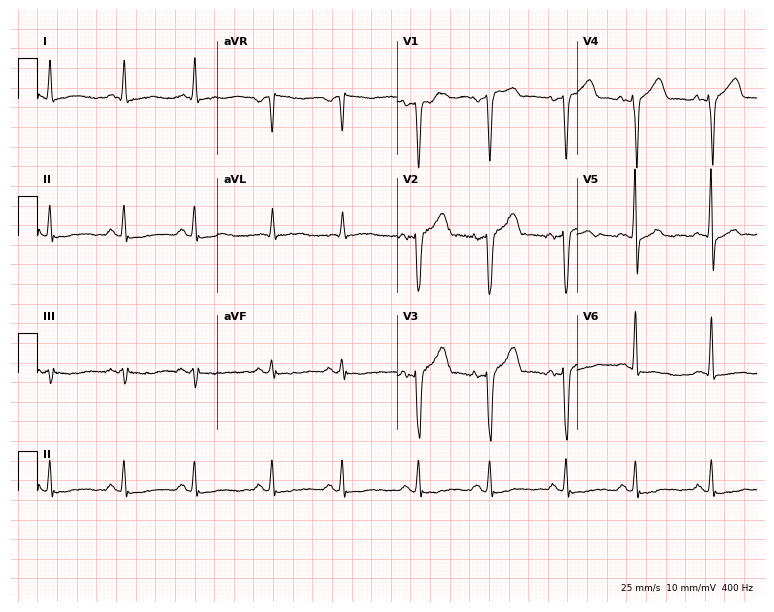
12-lead ECG from a male patient, 55 years old. Labelled as a normal ECG.